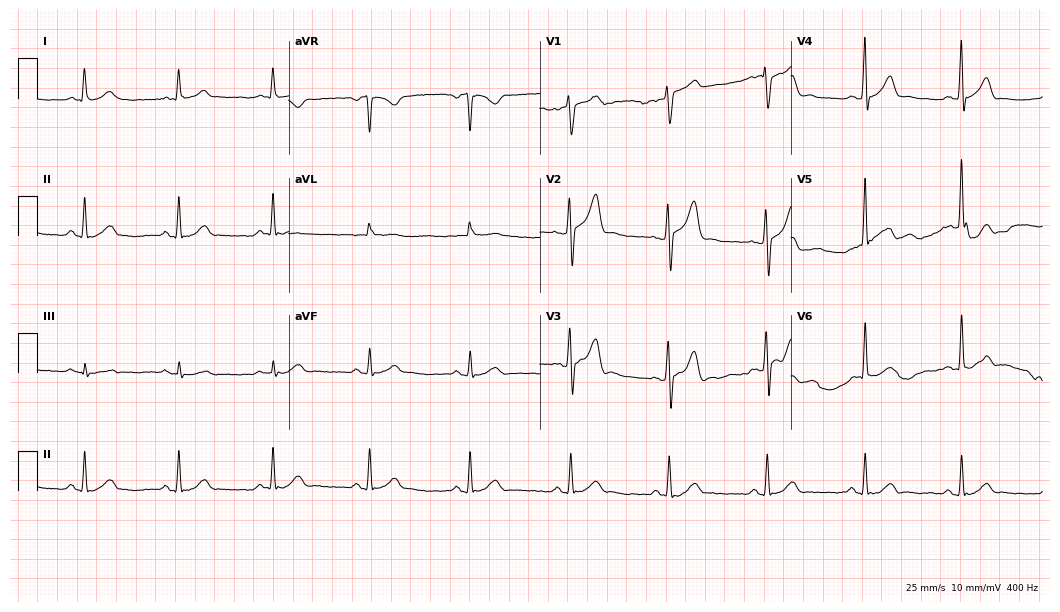
Standard 12-lead ECG recorded from a man, 37 years old. None of these six findings is recorded: first-degree AV block, right bundle branch block, left bundle branch block, sinus bradycardia, atrial fibrillation, sinus tachycardia.